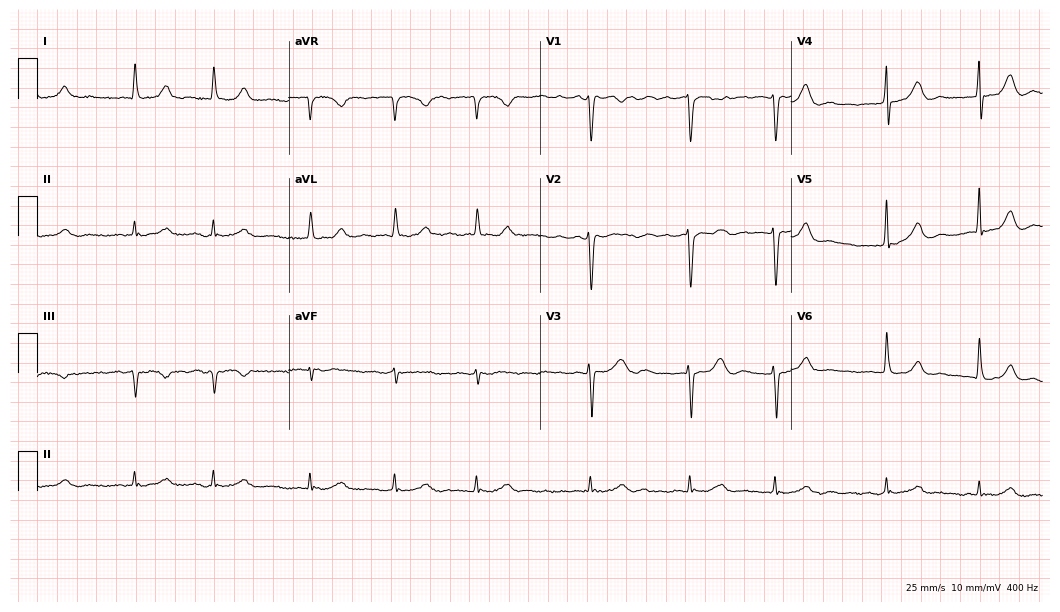
12-lead ECG from a 78-year-old female (10.2-second recording at 400 Hz). Shows atrial fibrillation.